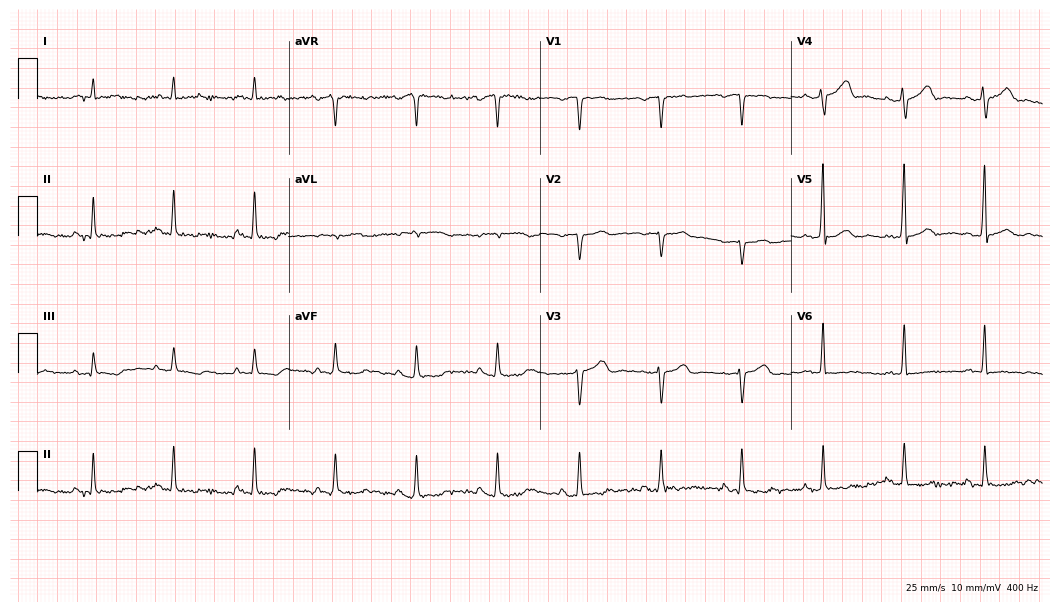
12-lead ECG from a male patient, 54 years old (10.2-second recording at 400 Hz). No first-degree AV block, right bundle branch block, left bundle branch block, sinus bradycardia, atrial fibrillation or sinus tachycardia recorded for this tracing. Other findings, if any, are not listed.